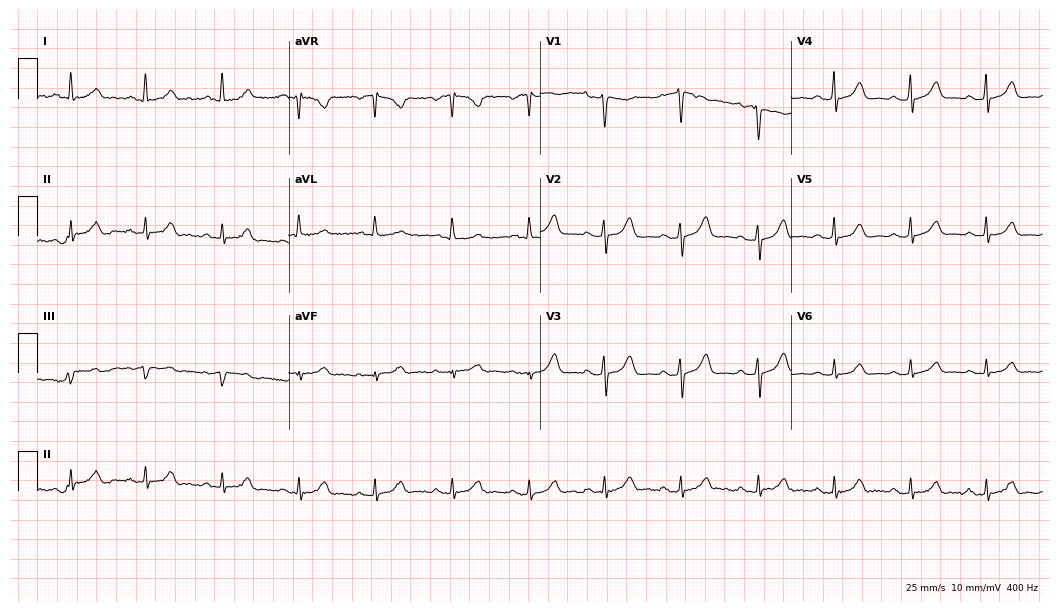
Resting 12-lead electrocardiogram (10.2-second recording at 400 Hz). Patient: a woman, 52 years old. Read as a normal ECG.